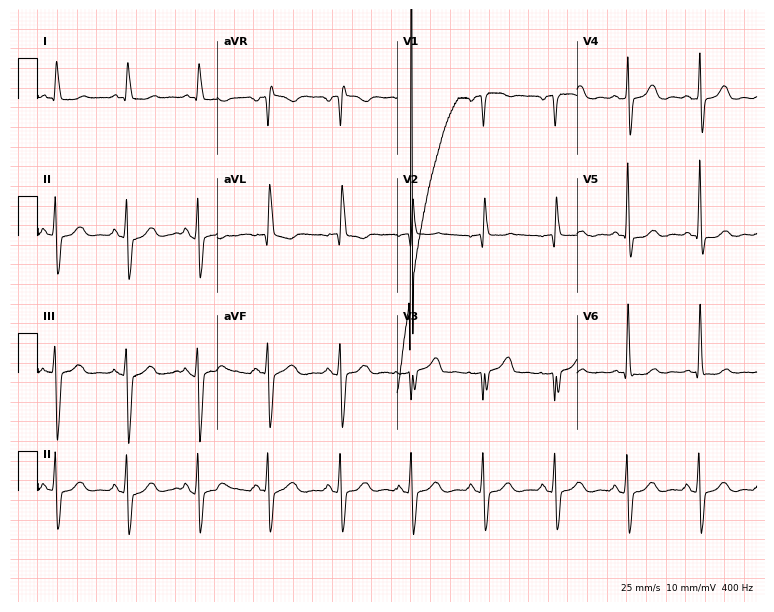
Standard 12-lead ECG recorded from a 68-year-old male patient. None of these six findings is recorded: first-degree AV block, right bundle branch block (RBBB), left bundle branch block (LBBB), sinus bradycardia, atrial fibrillation (AF), sinus tachycardia. Findings outside these six are not listed.